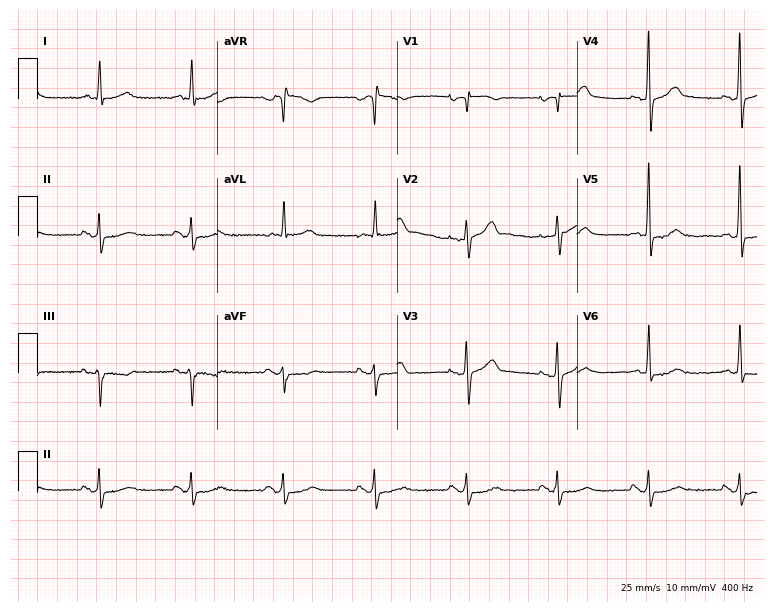
Resting 12-lead electrocardiogram. Patient: a male, 73 years old. Read as a normal ECG.